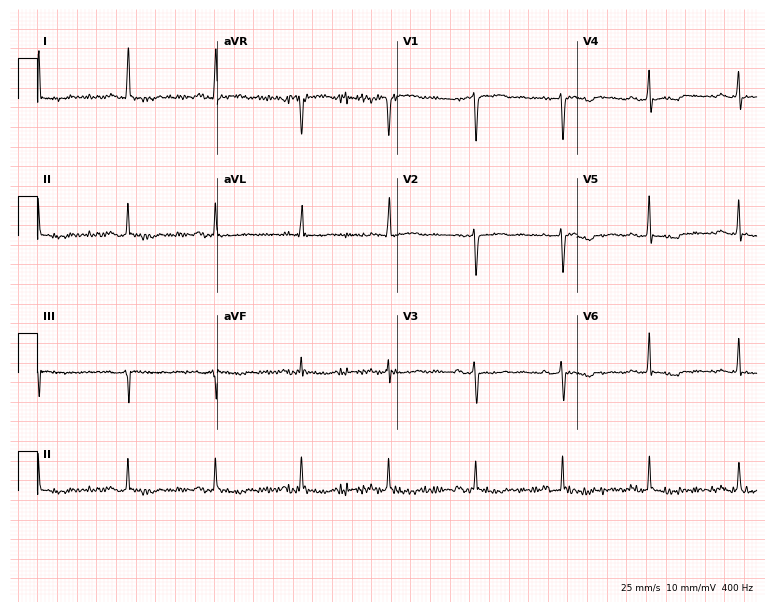
12-lead ECG from a female, 53 years old. Screened for six findings — first-degree AV block, right bundle branch block, left bundle branch block, sinus bradycardia, atrial fibrillation, sinus tachycardia — none is recorded. Only these six findings were labelled.